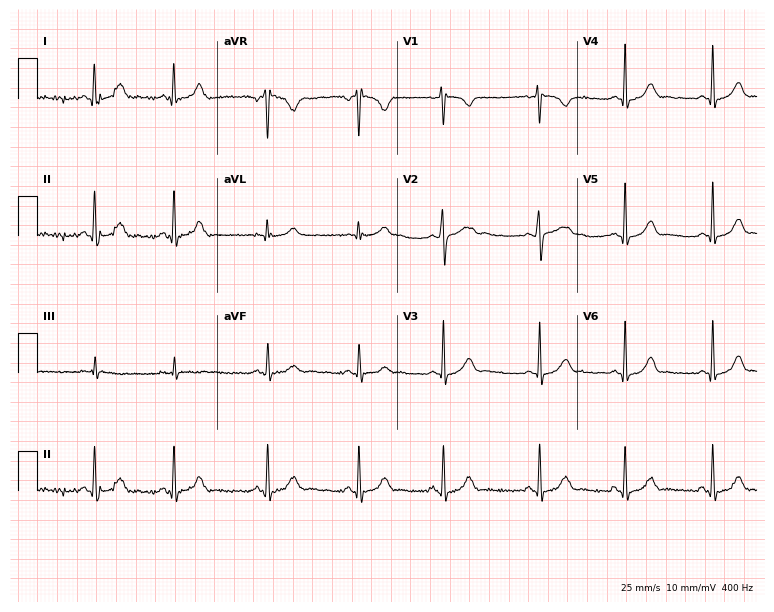
Electrocardiogram (7.3-second recording at 400 Hz), a female patient, 30 years old. Overall reading on record: normal ECG.